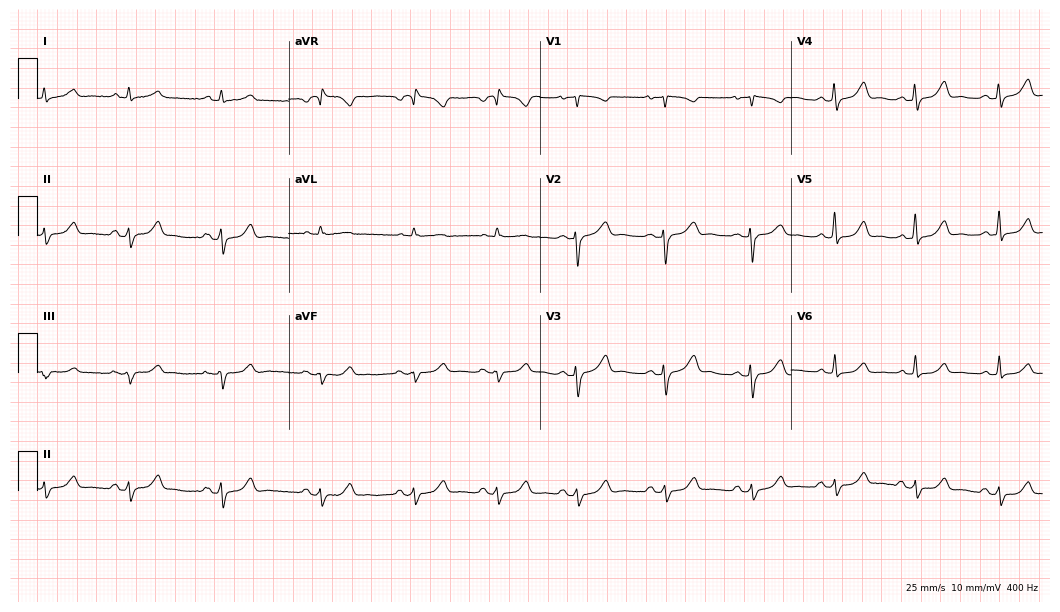
Resting 12-lead electrocardiogram. Patient: a female, 39 years old. Read as a normal ECG.